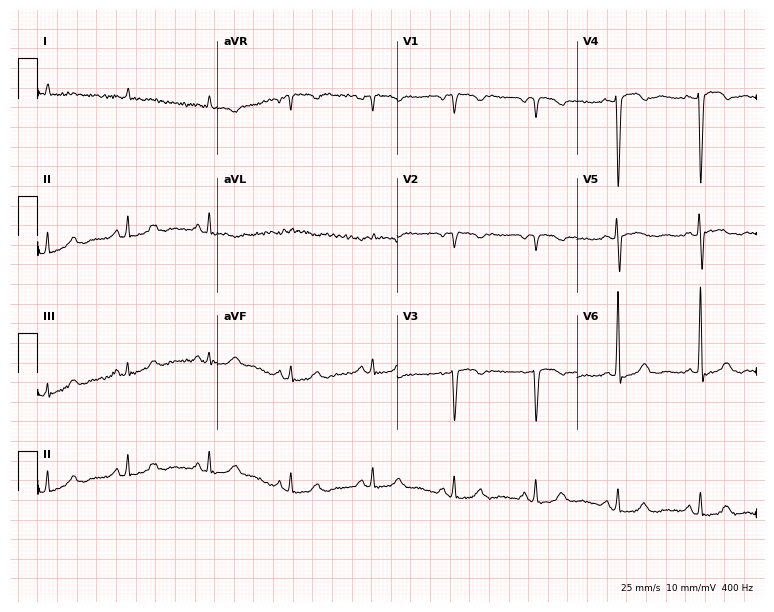
Standard 12-lead ECG recorded from a female, 77 years old (7.3-second recording at 400 Hz). None of these six findings is recorded: first-degree AV block, right bundle branch block (RBBB), left bundle branch block (LBBB), sinus bradycardia, atrial fibrillation (AF), sinus tachycardia. Only these six findings were labelled.